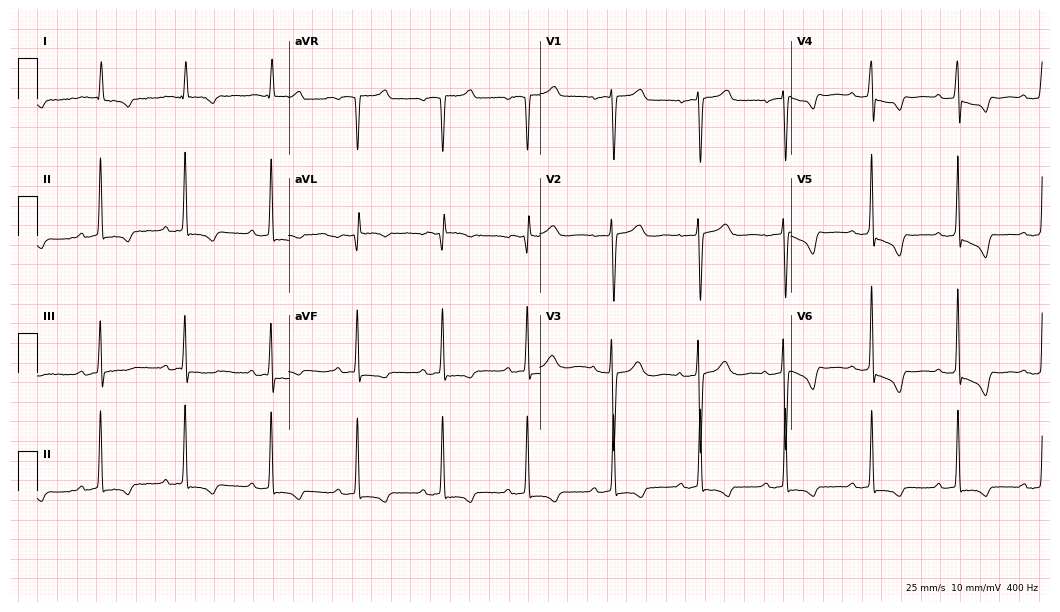
ECG — a 77-year-old female. Screened for six findings — first-degree AV block, right bundle branch block, left bundle branch block, sinus bradycardia, atrial fibrillation, sinus tachycardia — none is recorded. Other findings, if any, are not listed.